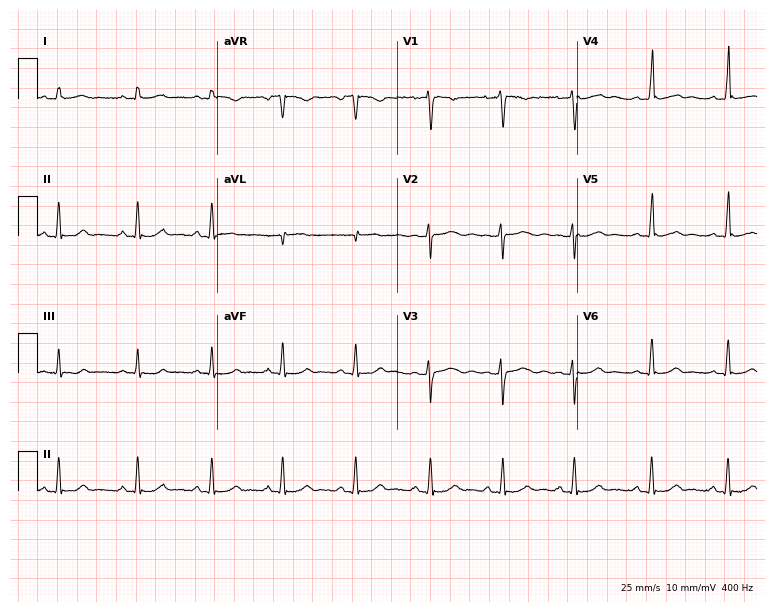
Resting 12-lead electrocardiogram. Patient: a 20-year-old female. None of these six findings is recorded: first-degree AV block, right bundle branch block, left bundle branch block, sinus bradycardia, atrial fibrillation, sinus tachycardia. Other findings, if any, are not listed.